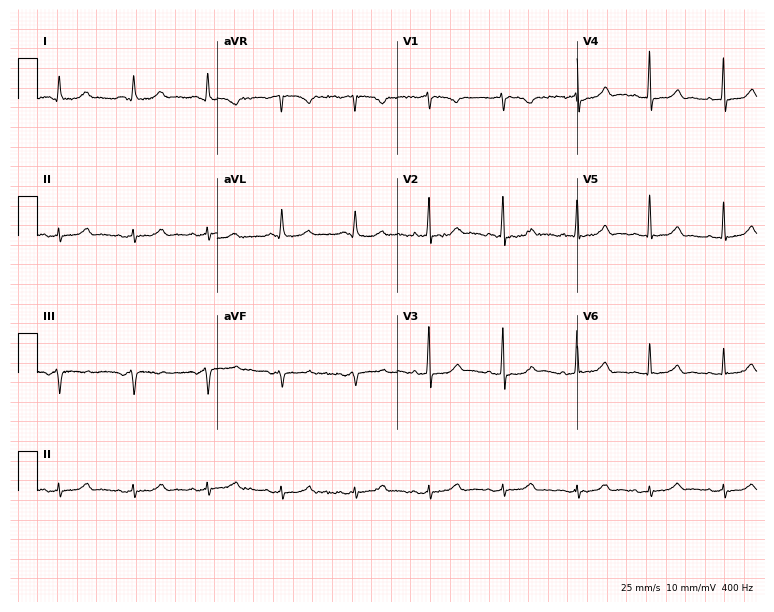
Standard 12-lead ECG recorded from a 58-year-old female. Read as a normal ECG.